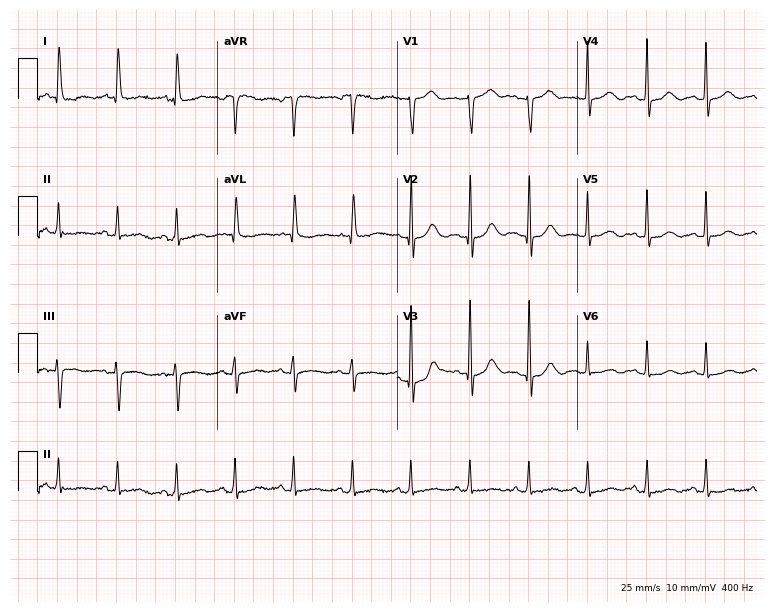
12-lead ECG from a 60-year-old woman. Screened for six findings — first-degree AV block, right bundle branch block, left bundle branch block, sinus bradycardia, atrial fibrillation, sinus tachycardia — none is recorded.